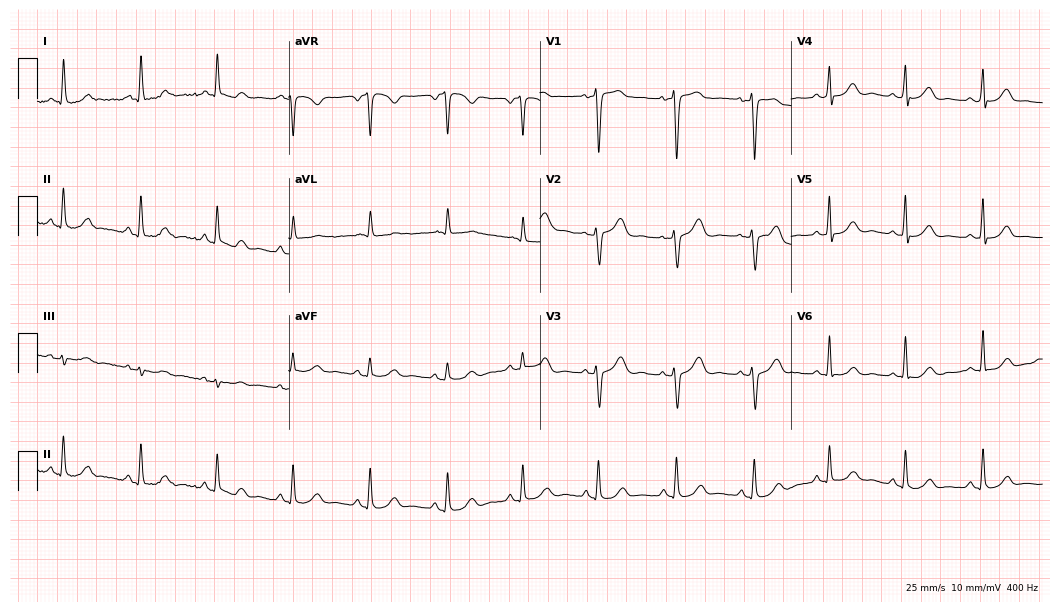
12-lead ECG from a female patient, 56 years old. No first-degree AV block, right bundle branch block, left bundle branch block, sinus bradycardia, atrial fibrillation or sinus tachycardia recorded for this tracing. Other findings, if any, are not listed.